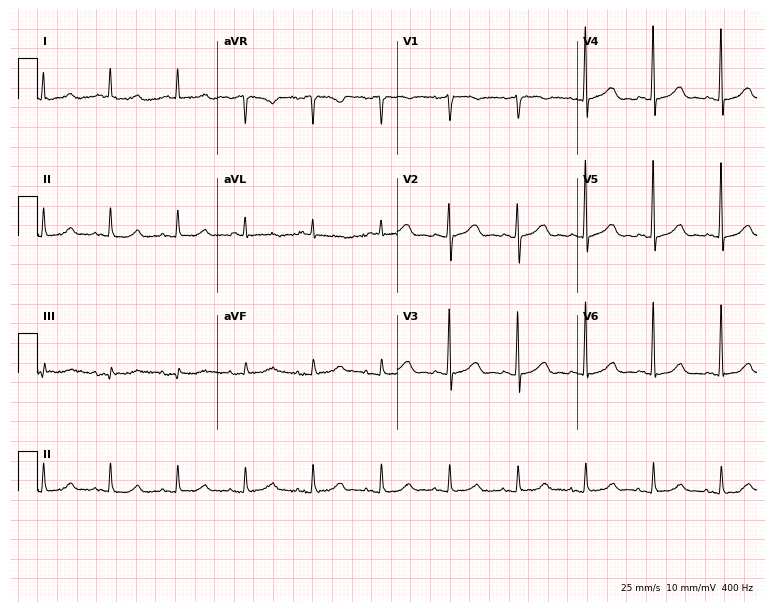
12-lead ECG from a 73-year-old woman. Labelled as a normal ECG.